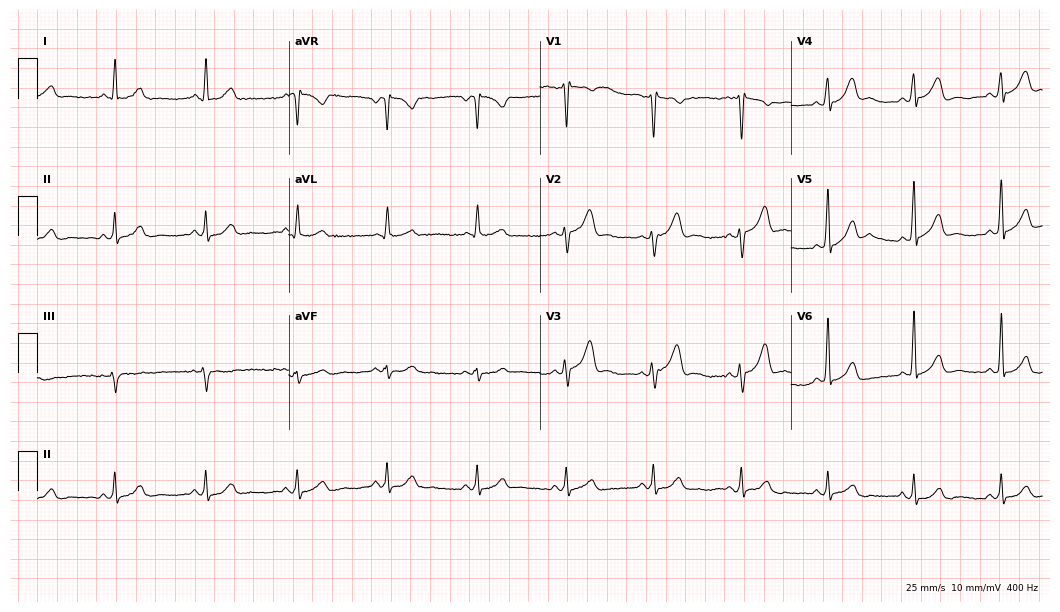
Electrocardiogram (10.2-second recording at 400 Hz), a 49-year-old male patient. Overall reading on record: normal ECG.